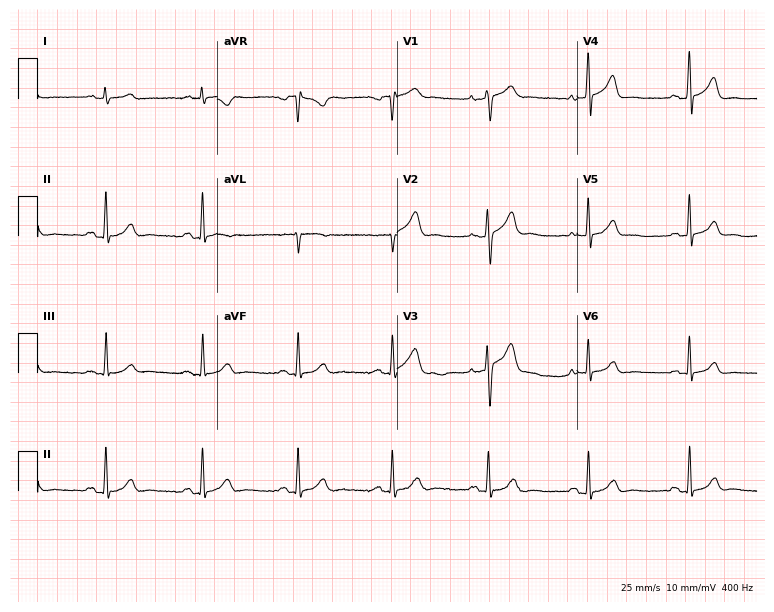
12-lead ECG from a 46-year-old male. Recorded interpretation: within normal limits.